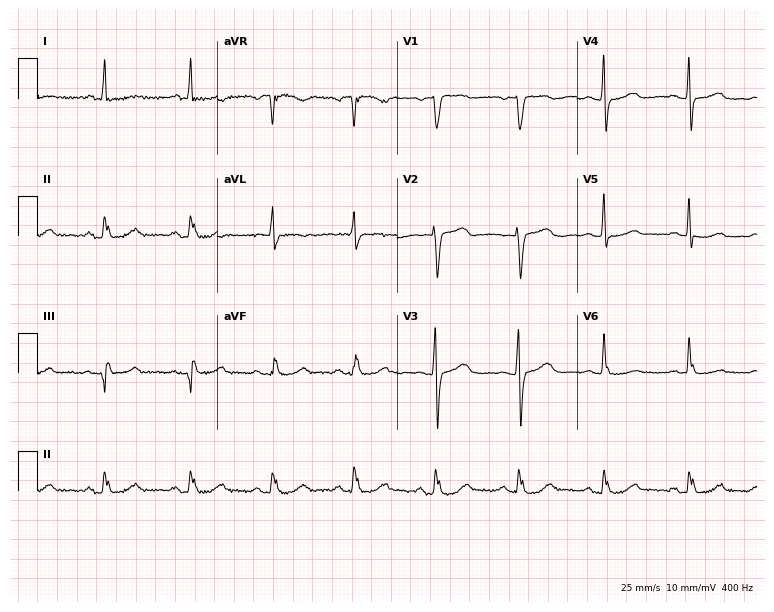
ECG (7.3-second recording at 400 Hz) — a 62-year-old female. Labelled as a normal ECG.